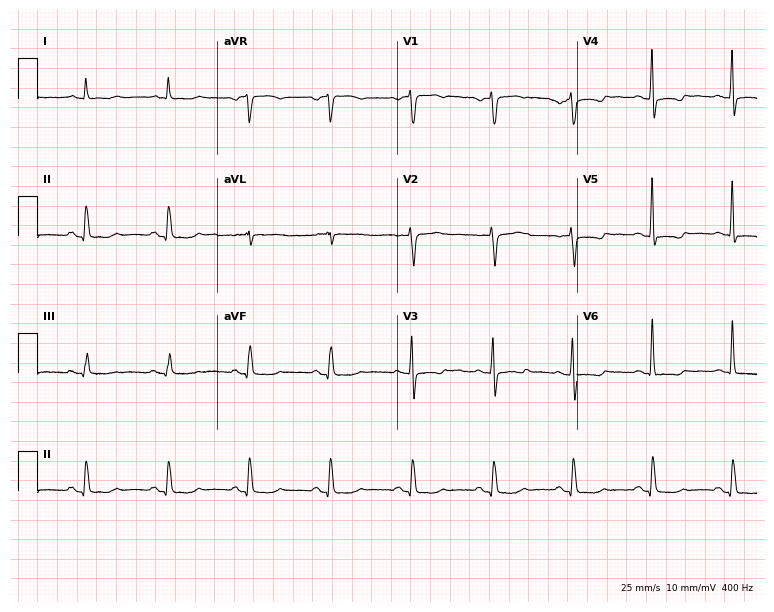
ECG (7.3-second recording at 400 Hz) — a 53-year-old female patient. Screened for six findings — first-degree AV block, right bundle branch block, left bundle branch block, sinus bradycardia, atrial fibrillation, sinus tachycardia — none is recorded. Other findings, if any, are not listed.